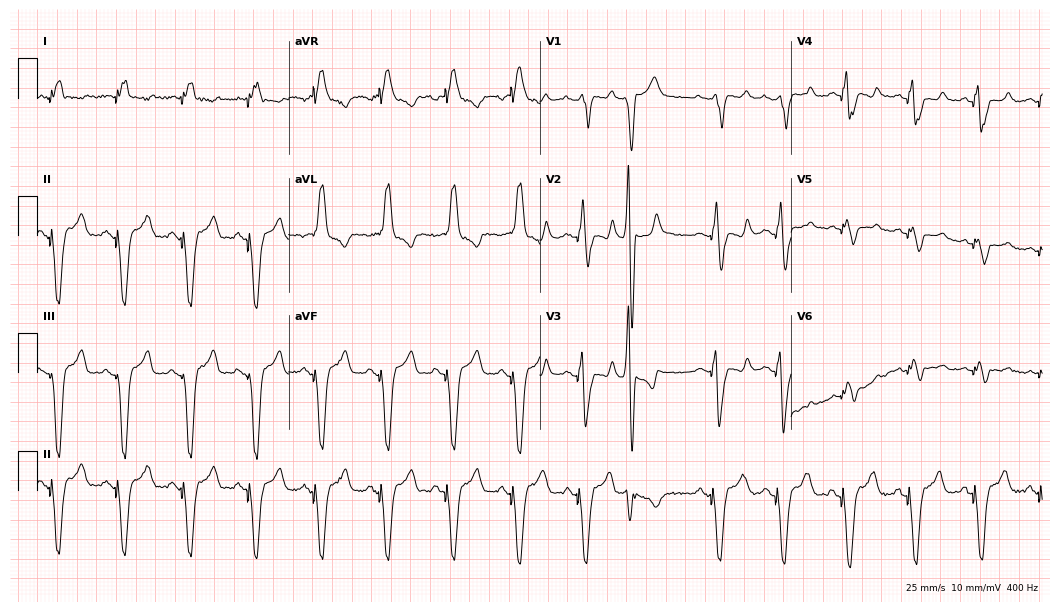
Standard 12-lead ECG recorded from a 76-year-old female (10.2-second recording at 400 Hz). None of these six findings is recorded: first-degree AV block, right bundle branch block, left bundle branch block, sinus bradycardia, atrial fibrillation, sinus tachycardia.